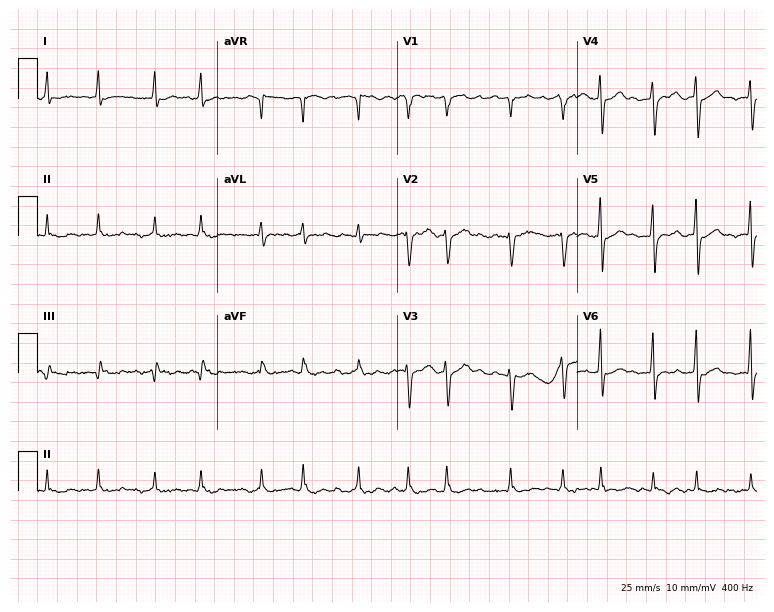
Standard 12-lead ECG recorded from a 73-year-old male patient (7.3-second recording at 400 Hz). The tracing shows atrial fibrillation.